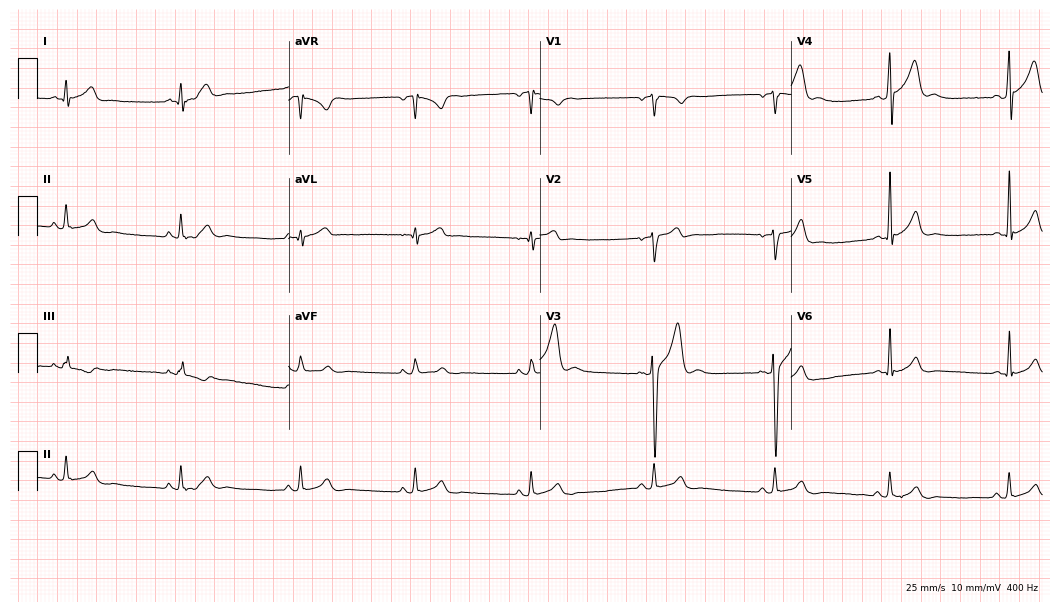
12-lead ECG from a 20-year-old male (10.2-second recording at 400 Hz). Recorded interpretation: within normal limits.